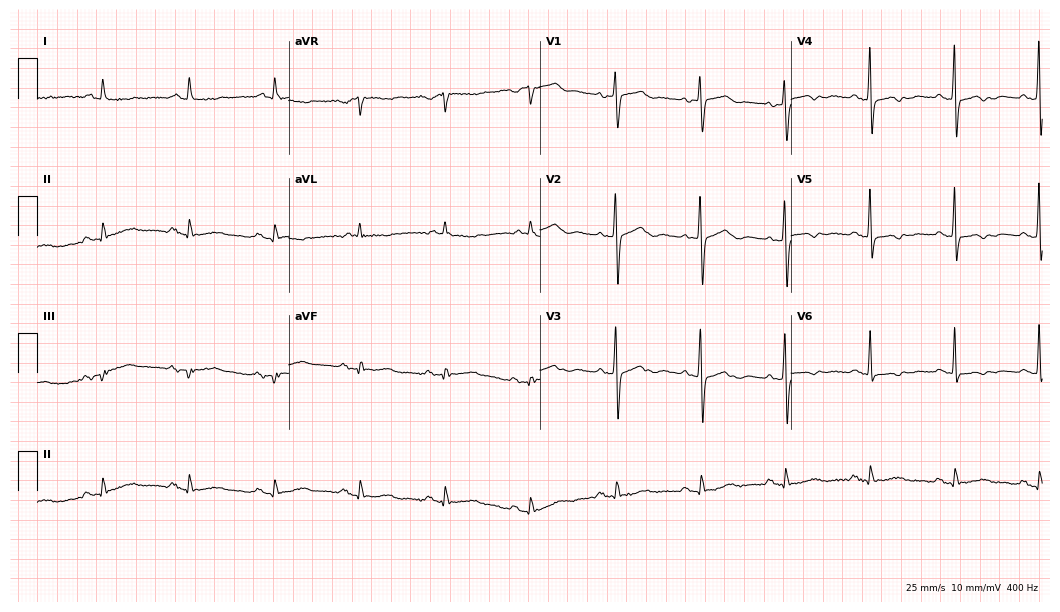
12-lead ECG from a 78-year-old woman. No first-degree AV block, right bundle branch block, left bundle branch block, sinus bradycardia, atrial fibrillation or sinus tachycardia recorded for this tracing.